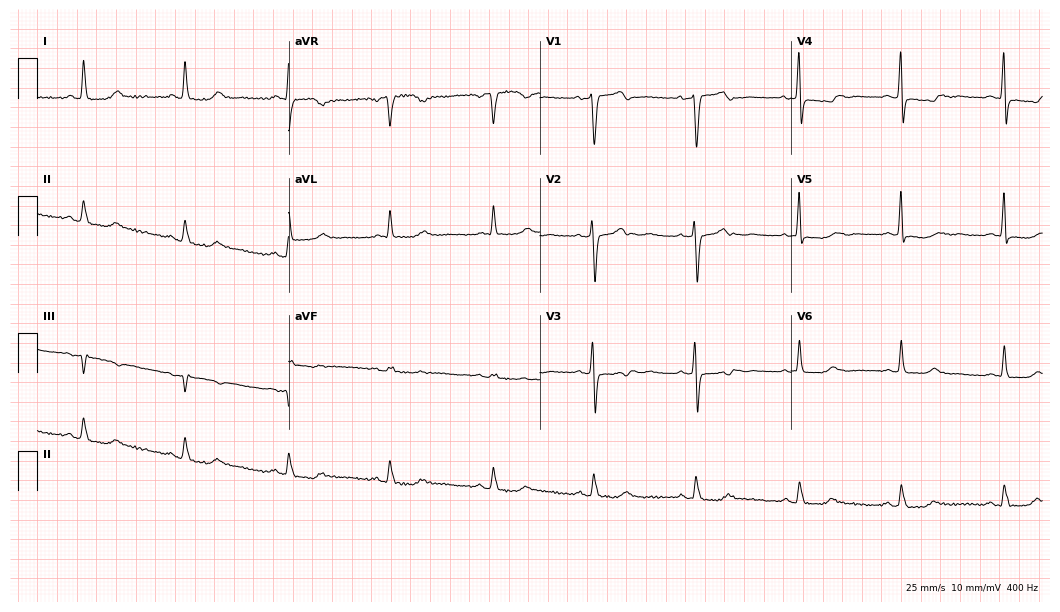
Resting 12-lead electrocardiogram. Patient: a 69-year-old female. Read as a normal ECG.